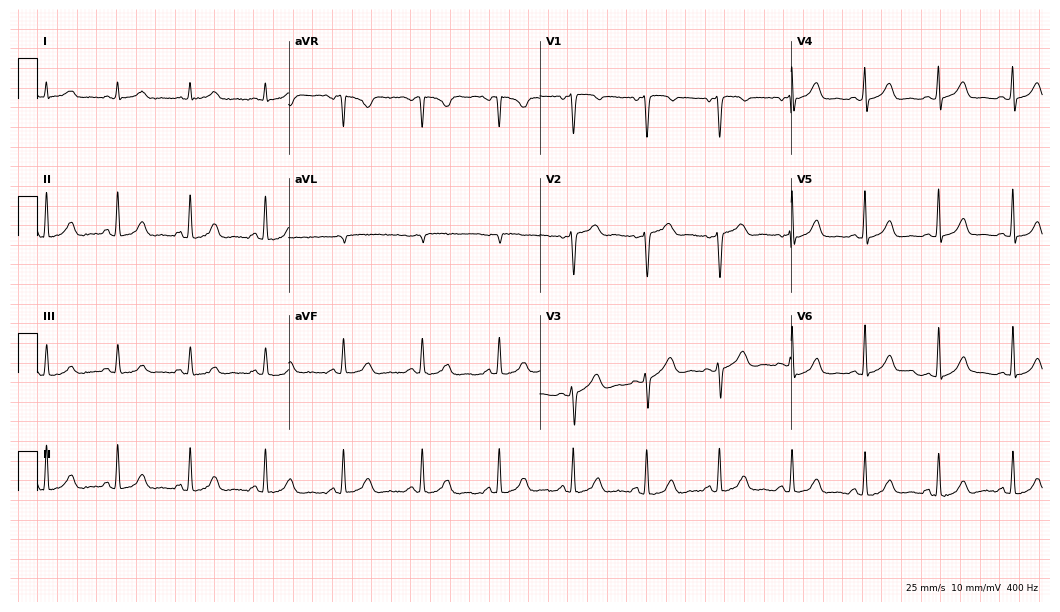
12-lead ECG from a female patient, 46 years old. Labelled as a normal ECG.